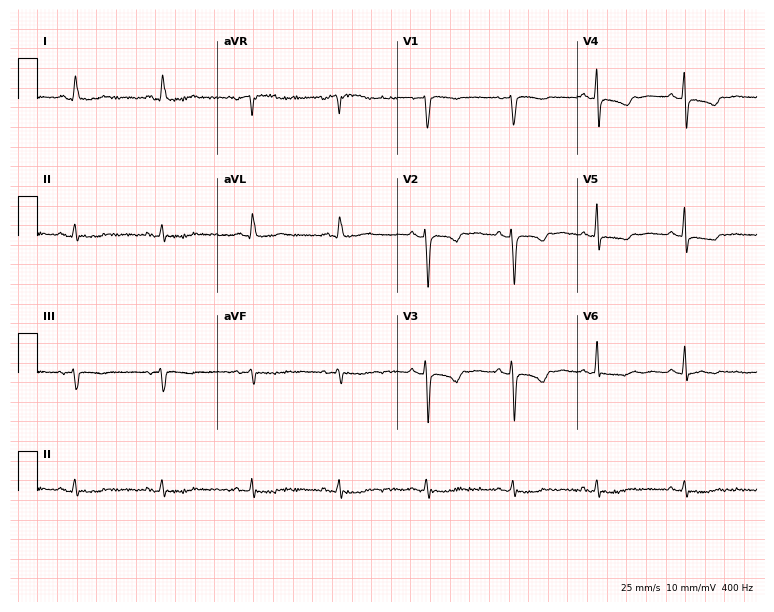
Standard 12-lead ECG recorded from a 60-year-old woman (7.3-second recording at 400 Hz). None of these six findings is recorded: first-degree AV block, right bundle branch block, left bundle branch block, sinus bradycardia, atrial fibrillation, sinus tachycardia.